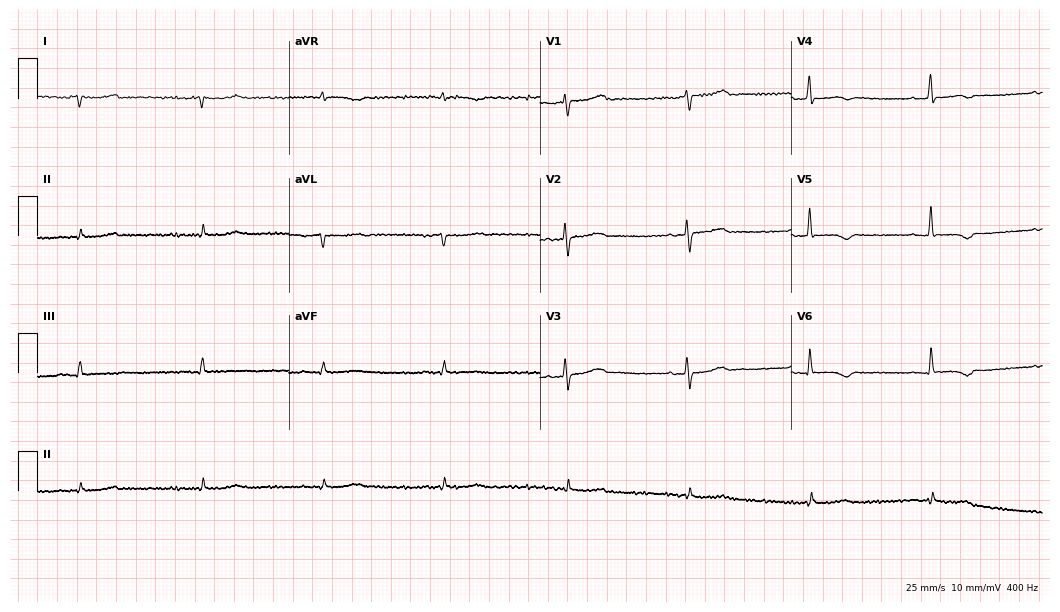
12-lead ECG from a female patient, 79 years old. Screened for six findings — first-degree AV block, right bundle branch block, left bundle branch block, sinus bradycardia, atrial fibrillation, sinus tachycardia — none is recorded. Other findings, if any, are not listed.